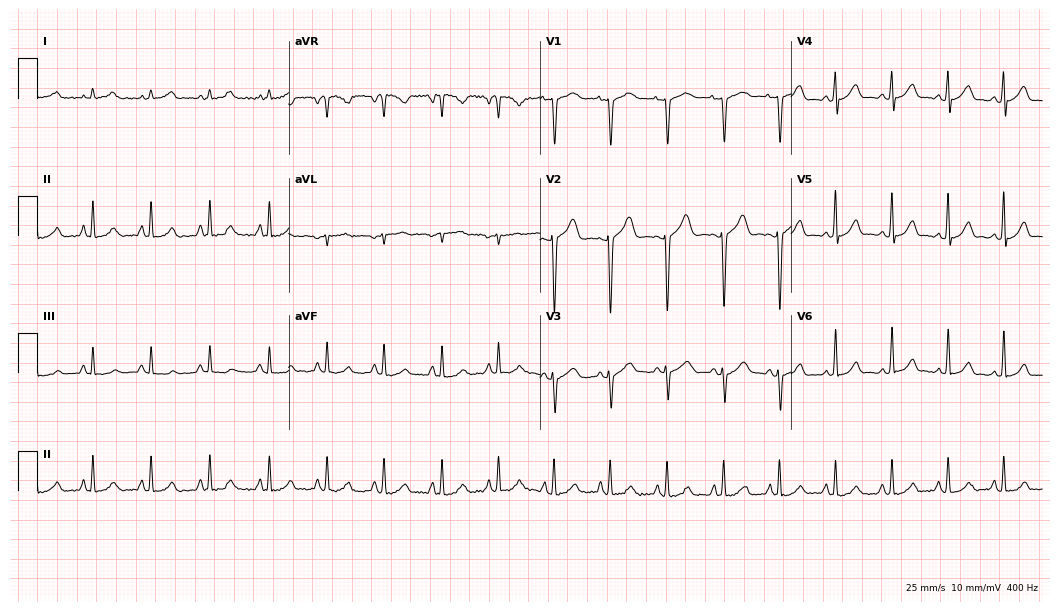
12-lead ECG (10.2-second recording at 400 Hz) from a woman, 18 years old. Labelled as a normal ECG.